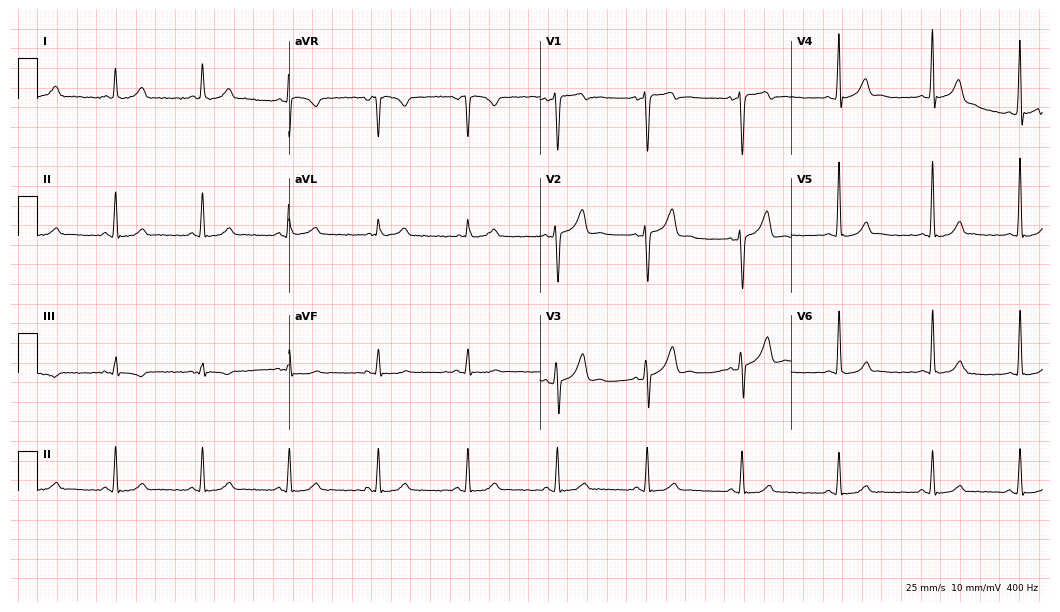
Standard 12-lead ECG recorded from a 27-year-old man (10.2-second recording at 400 Hz). None of these six findings is recorded: first-degree AV block, right bundle branch block (RBBB), left bundle branch block (LBBB), sinus bradycardia, atrial fibrillation (AF), sinus tachycardia.